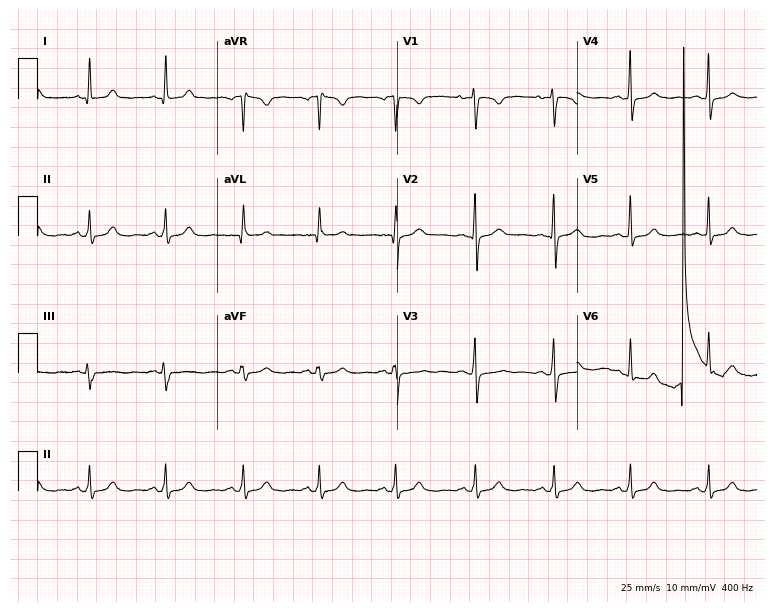
ECG — a female, 31 years old. Screened for six findings — first-degree AV block, right bundle branch block, left bundle branch block, sinus bradycardia, atrial fibrillation, sinus tachycardia — none is recorded.